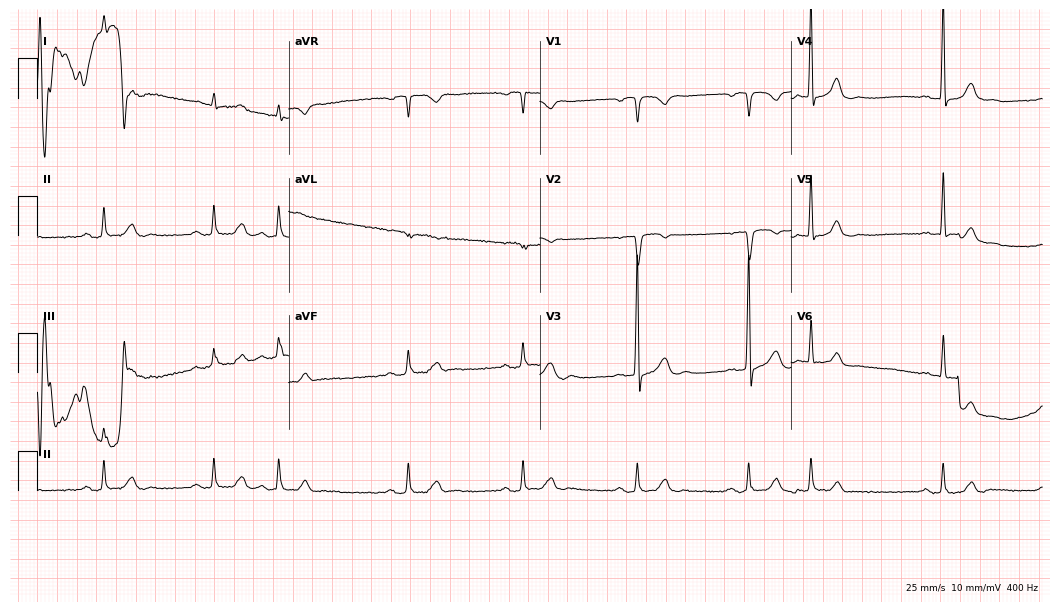
12-lead ECG from a male, 70 years old (10.2-second recording at 400 Hz). No first-degree AV block, right bundle branch block, left bundle branch block, sinus bradycardia, atrial fibrillation or sinus tachycardia recorded for this tracing. Findings outside these six are not listed.